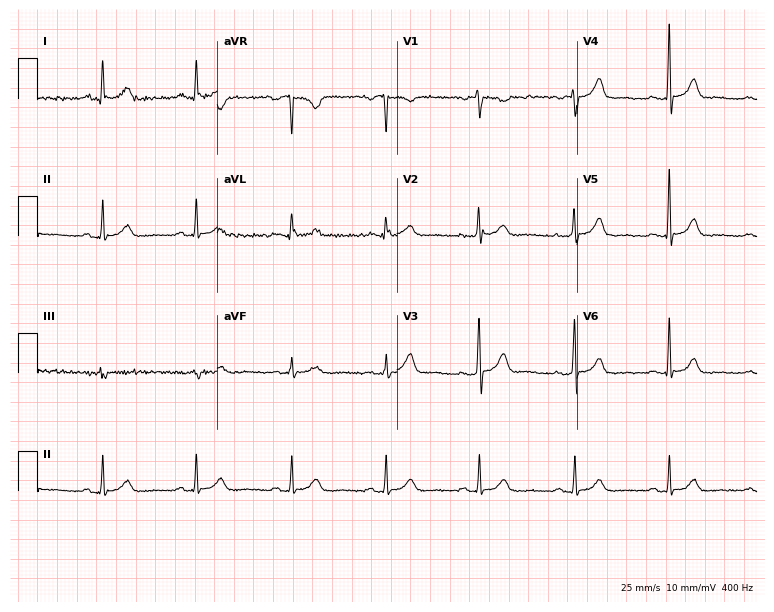
Resting 12-lead electrocardiogram. Patient: a 59-year-old female. None of these six findings is recorded: first-degree AV block, right bundle branch block, left bundle branch block, sinus bradycardia, atrial fibrillation, sinus tachycardia. Other findings, if any, are not listed.